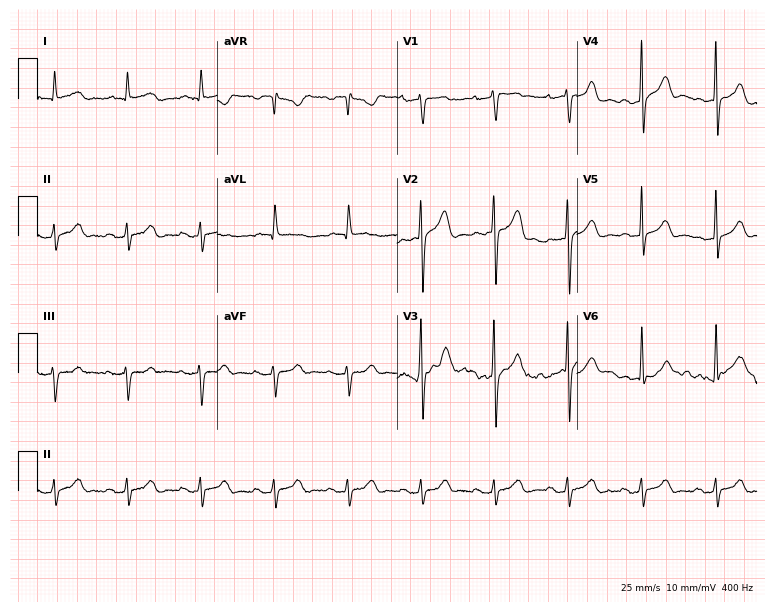
12-lead ECG from a male, 79 years old (7.3-second recording at 400 Hz). Recorded interpretation: within normal limits.